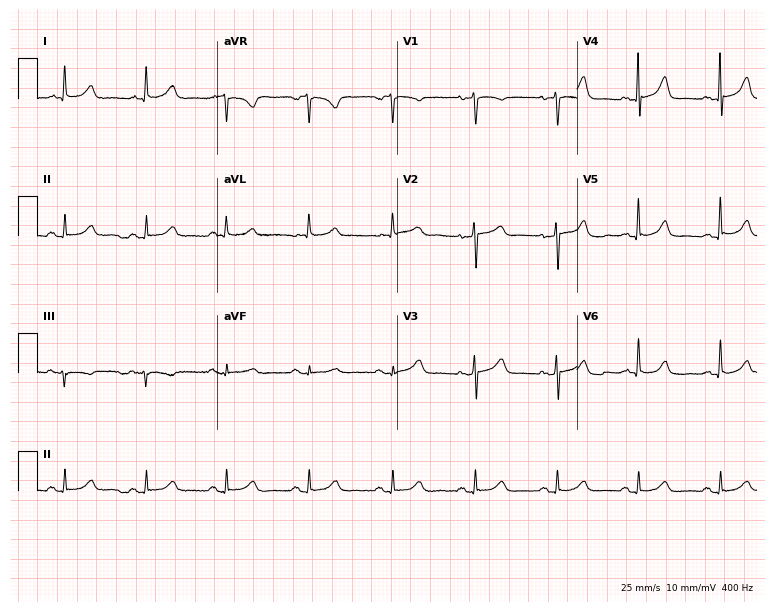
ECG — a female patient, 79 years old. Labelled as a normal ECG.